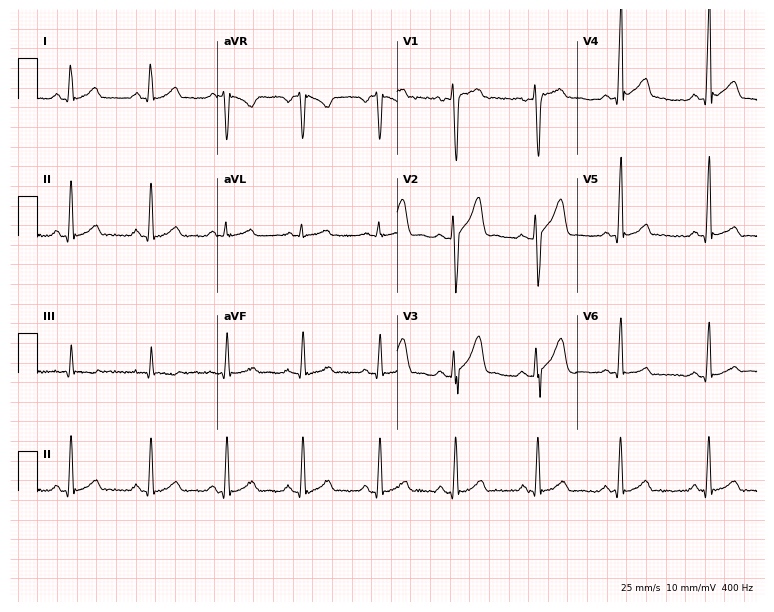
Electrocardiogram (7.3-second recording at 400 Hz), a 21-year-old male patient. Overall reading on record: normal ECG.